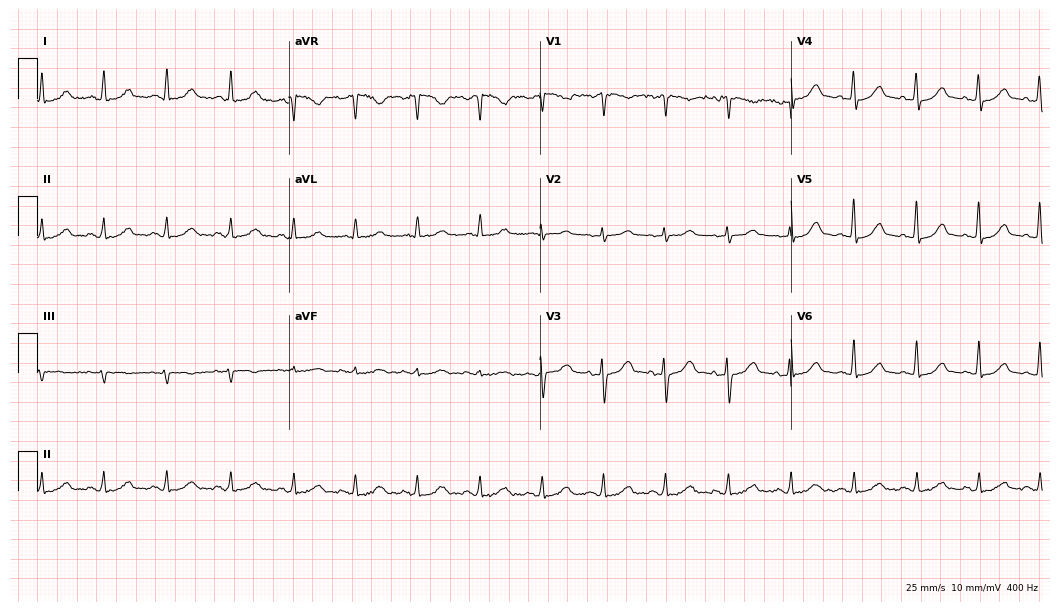
12-lead ECG from a 44-year-old female patient. Labelled as a normal ECG.